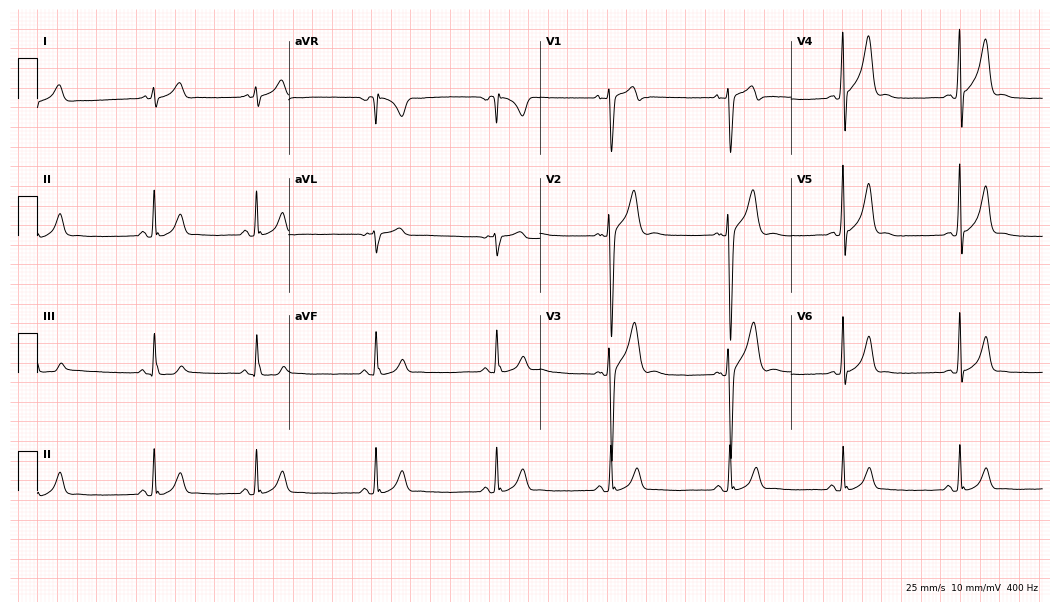
Resting 12-lead electrocardiogram (10.2-second recording at 400 Hz). Patient: a male, 18 years old. Read as a normal ECG.